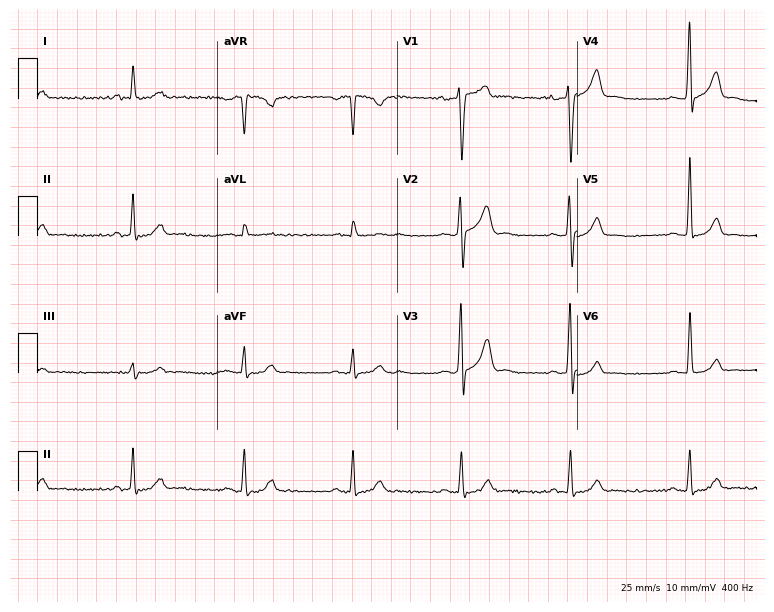
12-lead ECG (7.3-second recording at 400 Hz) from a man, 40 years old. Screened for six findings — first-degree AV block, right bundle branch block (RBBB), left bundle branch block (LBBB), sinus bradycardia, atrial fibrillation (AF), sinus tachycardia — none is recorded. Only these six findings were labelled.